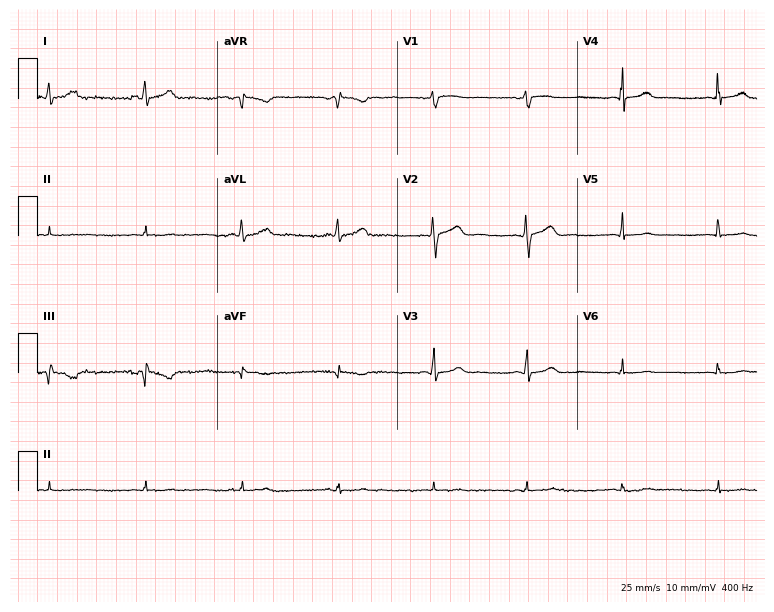
12-lead ECG (7.3-second recording at 400 Hz) from a 34-year-old female. Screened for six findings — first-degree AV block, right bundle branch block (RBBB), left bundle branch block (LBBB), sinus bradycardia, atrial fibrillation (AF), sinus tachycardia — none is recorded.